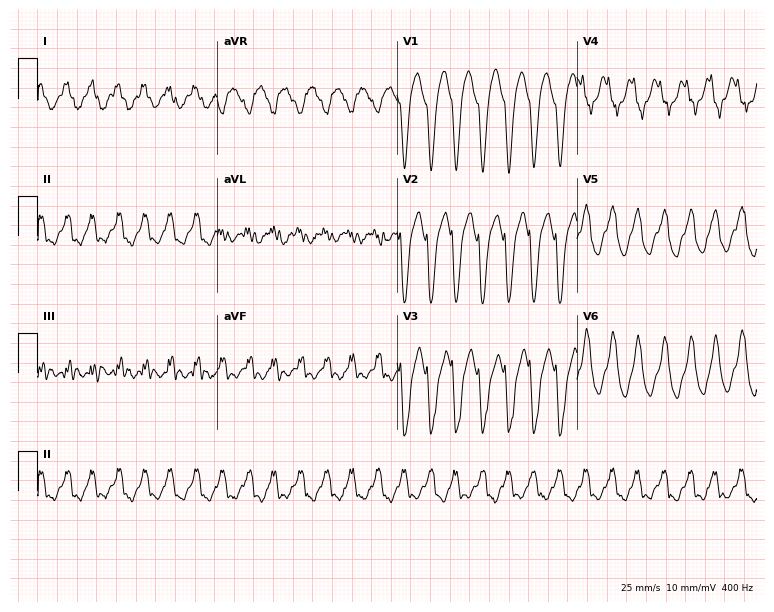
Electrocardiogram (7.3-second recording at 400 Hz), a 65-year-old female. Interpretation includes sinus tachycardia (a sinus rate of 100 beats per minute or more).